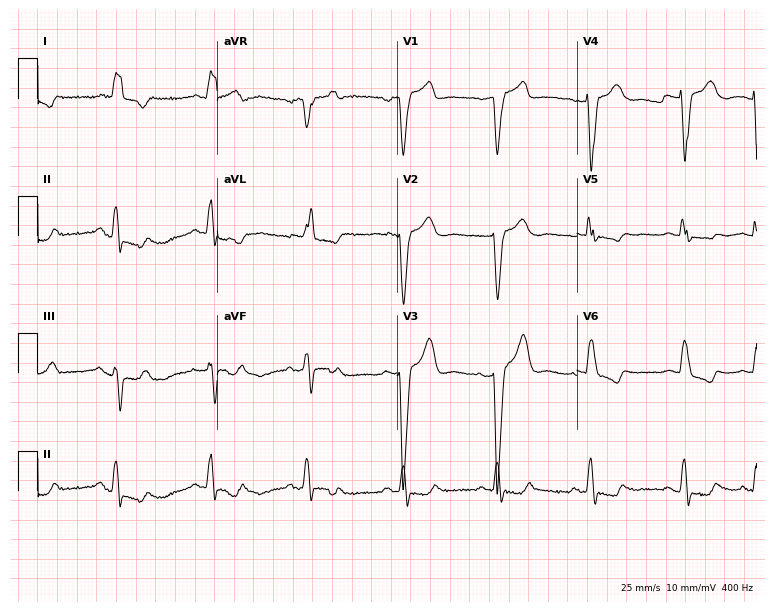
Electrocardiogram (7.3-second recording at 400 Hz), a female, 82 years old. Of the six screened findings (first-degree AV block, right bundle branch block, left bundle branch block, sinus bradycardia, atrial fibrillation, sinus tachycardia), none is recorded.